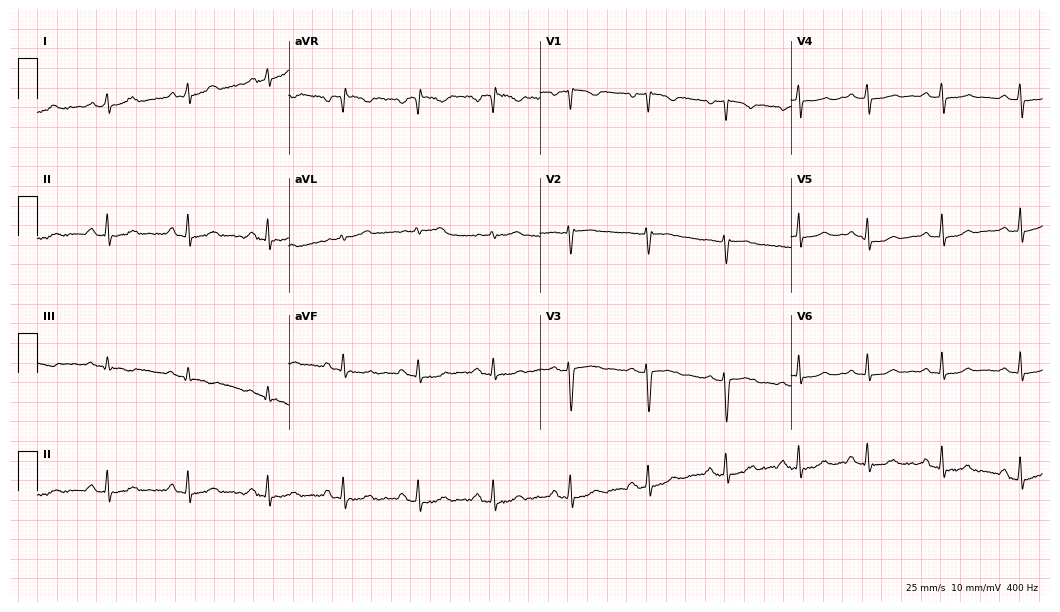
Standard 12-lead ECG recorded from a woman, 41 years old. None of these six findings is recorded: first-degree AV block, right bundle branch block (RBBB), left bundle branch block (LBBB), sinus bradycardia, atrial fibrillation (AF), sinus tachycardia. Other findings, if any, are not listed.